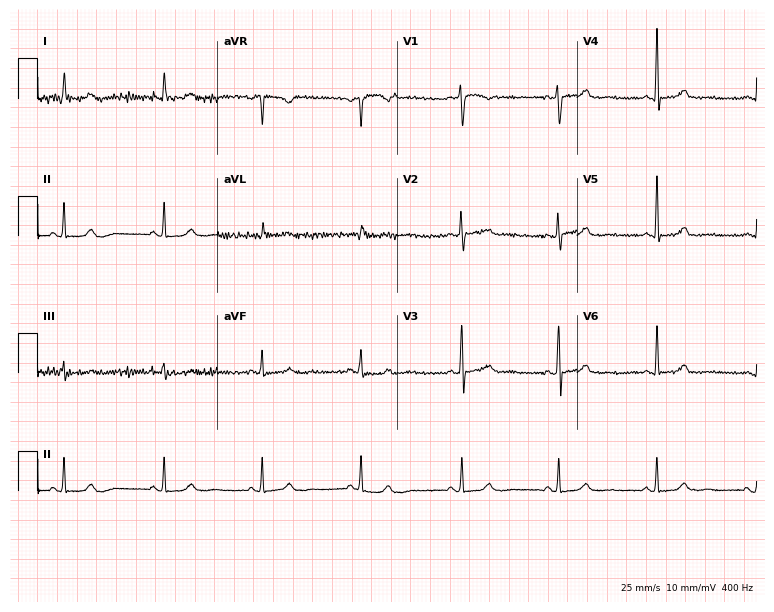
Resting 12-lead electrocardiogram. Patient: a woman, 35 years old. Read as a normal ECG.